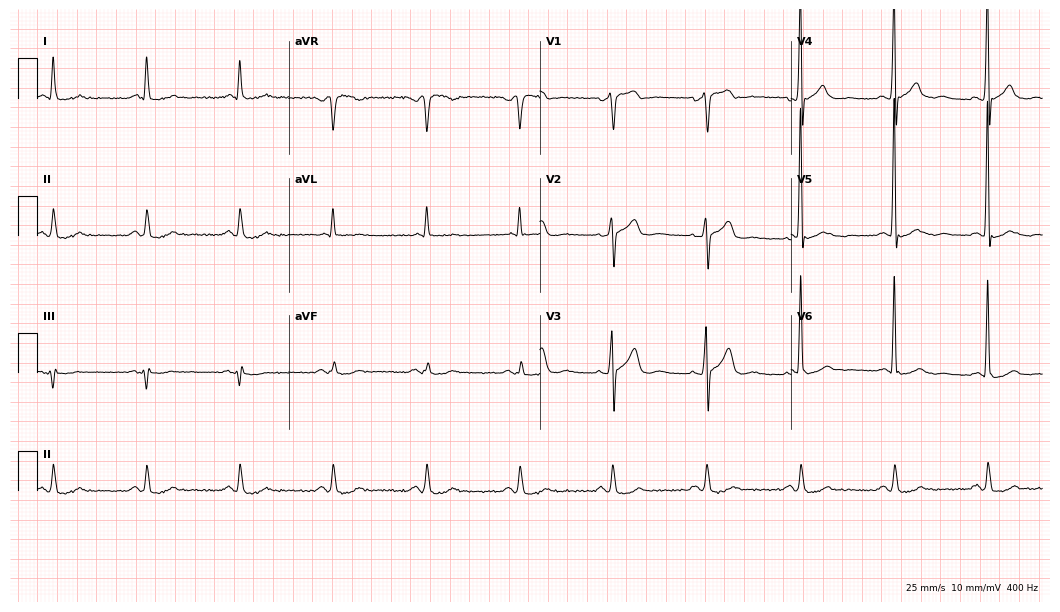
ECG (10.2-second recording at 400 Hz) — a 76-year-old man. Labelled as a normal ECG.